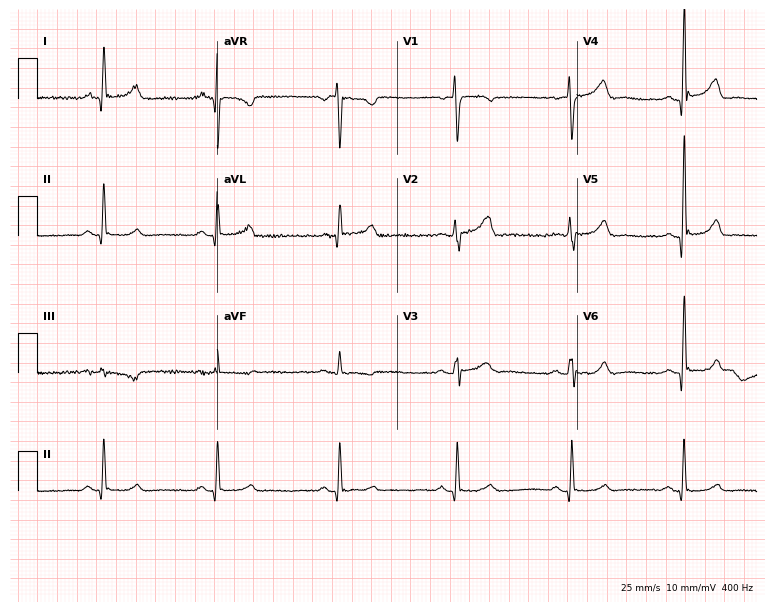
Electrocardiogram (7.3-second recording at 400 Hz), a 53-year-old female patient. Interpretation includes sinus bradycardia (a sinus rate of 50 beats per minute or less).